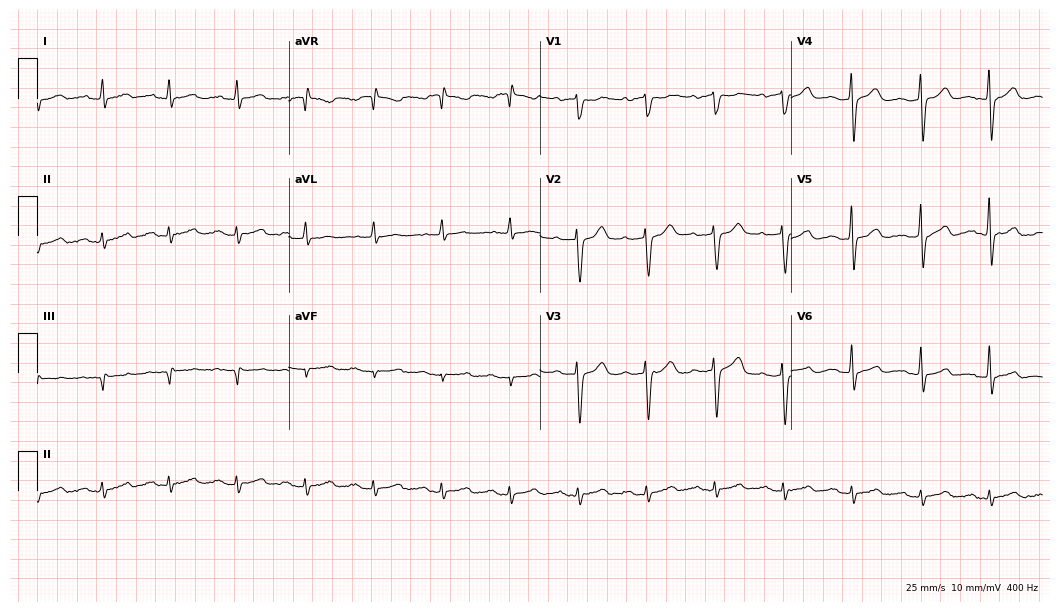
ECG (10.2-second recording at 400 Hz) — a 53-year-old man. Labelled as a normal ECG.